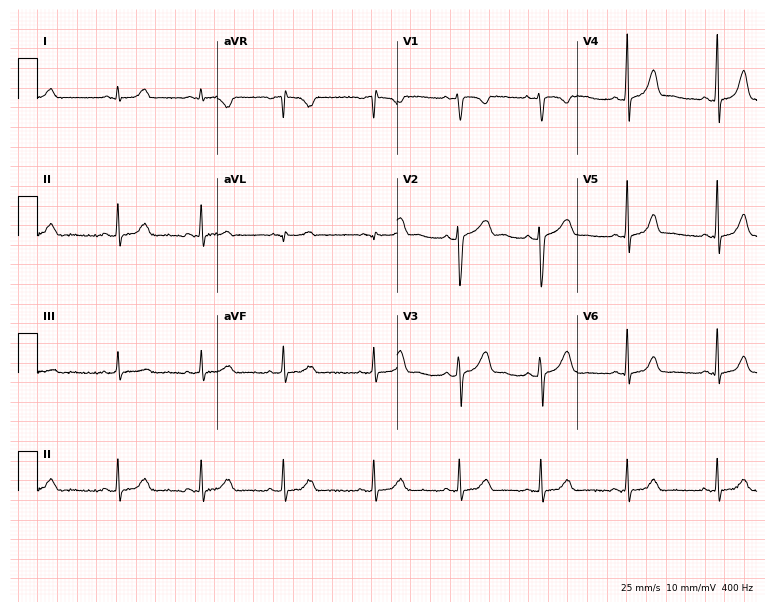
Resting 12-lead electrocardiogram. Patient: a female, 27 years old. None of these six findings is recorded: first-degree AV block, right bundle branch block, left bundle branch block, sinus bradycardia, atrial fibrillation, sinus tachycardia. Other findings, if any, are not listed.